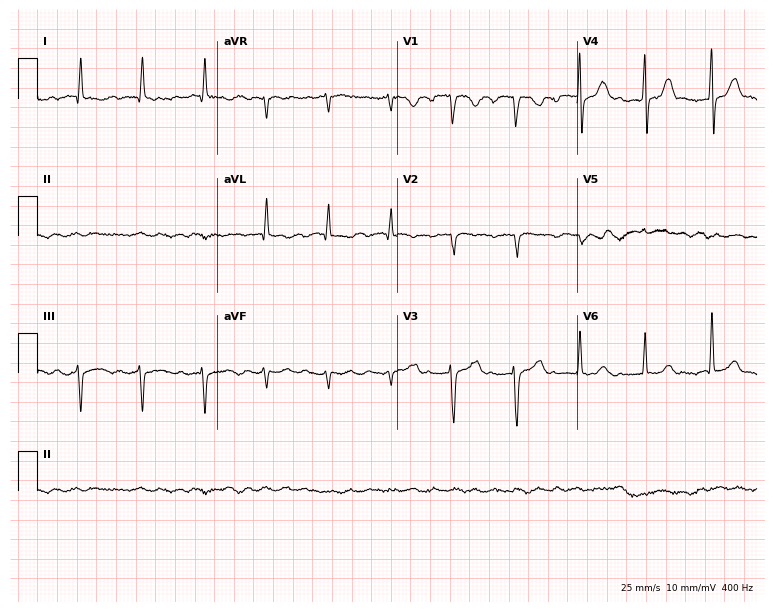
Resting 12-lead electrocardiogram. Patient: a 65-year-old man. None of these six findings is recorded: first-degree AV block, right bundle branch block, left bundle branch block, sinus bradycardia, atrial fibrillation, sinus tachycardia. Other findings, if any, are not listed.